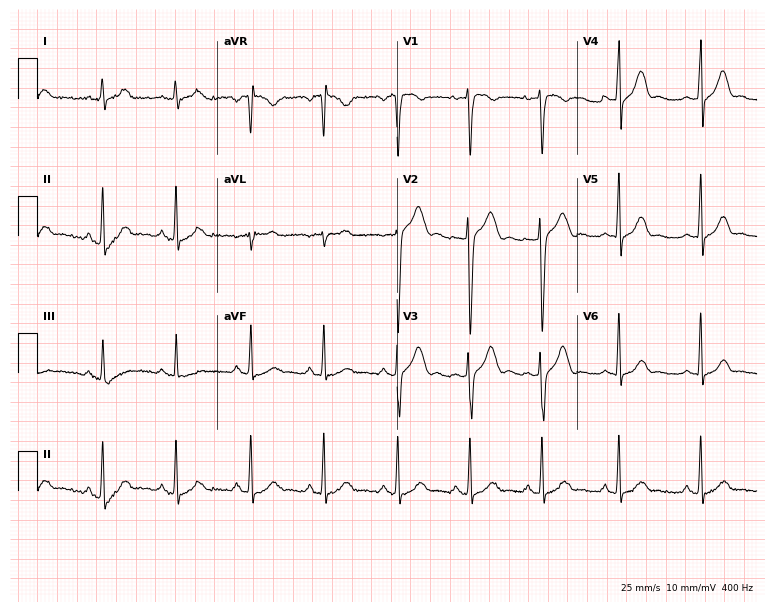
ECG (7.3-second recording at 400 Hz) — a female, 22 years old. Labelled as a normal ECG.